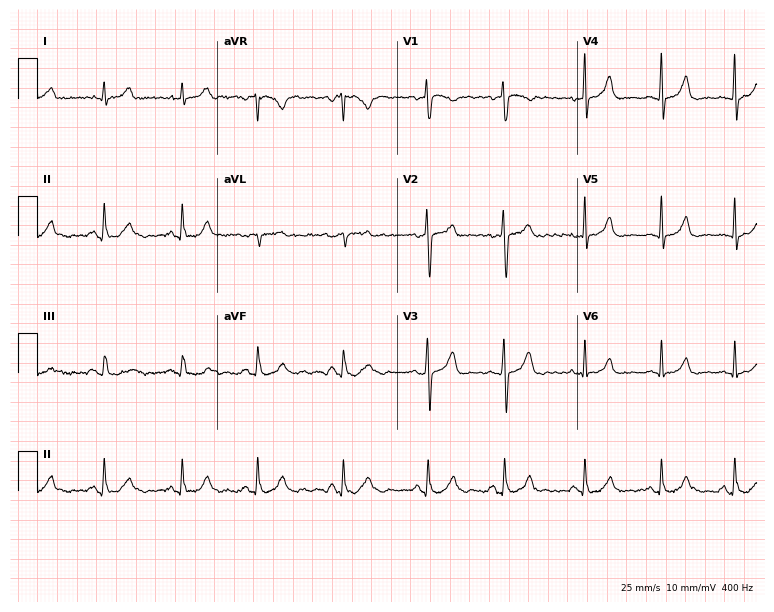
ECG — a 41-year-old woman. Labelled as a normal ECG.